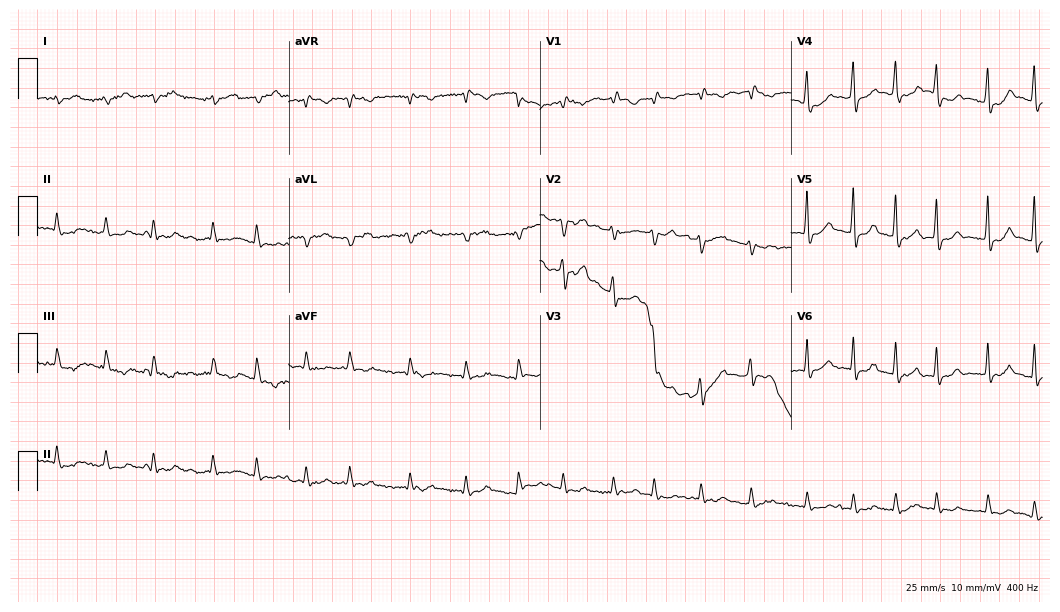
12-lead ECG (10.2-second recording at 400 Hz) from a man, 83 years old. Findings include atrial fibrillation, sinus tachycardia (a sinus rate of 100 beats per minute or more).